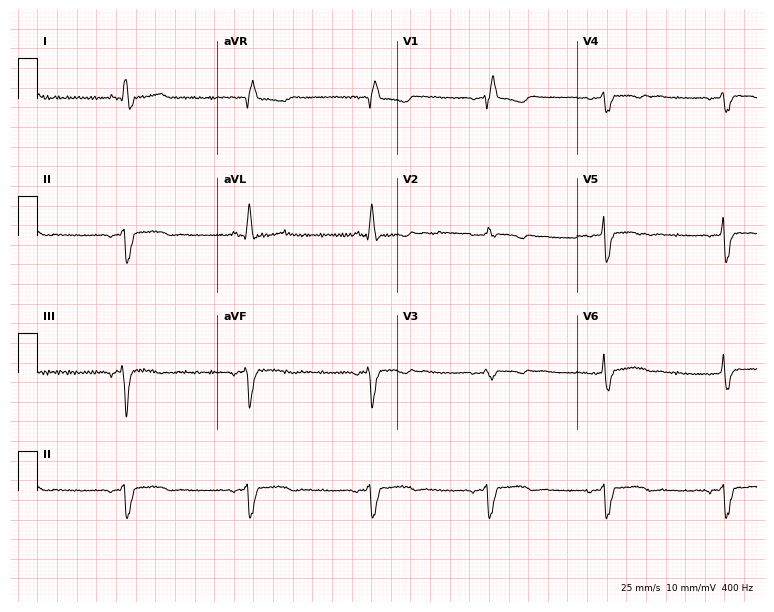
12-lead ECG from a woman, 55 years old (7.3-second recording at 400 Hz). Shows right bundle branch block.